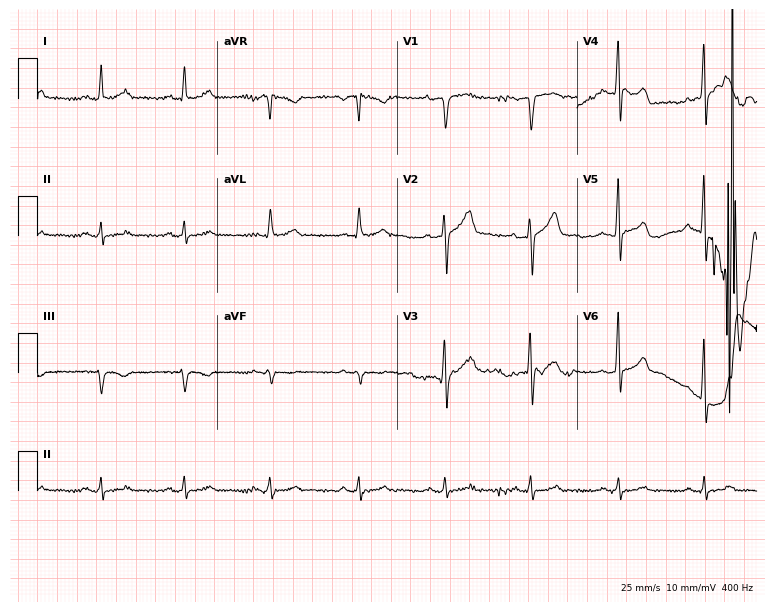
Resting 12-lead electrocardiogram. Patient: a man, 49 years old. None of these six findings is recorded: first-degree AV block, right bundle branch block, left bundle branch block, sinus bradycardia, atrial fibrillation, sinus tachycardia.